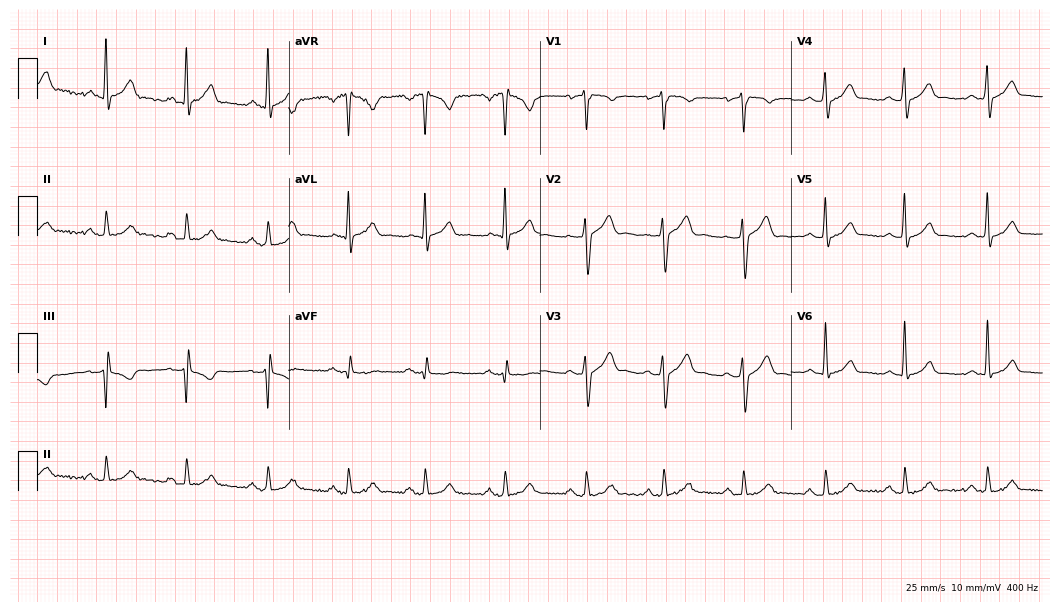
Electrocardiogram (10.2-second recording at 400 Hz), a man, 28 years old. Of the six screened findings (first-degree AV block, right bundle branch block, left bundle branch block, sinus bradycardia, atrial fibrillation, sinus tachycardia), none is recorded. Findings outside these six are not listed.